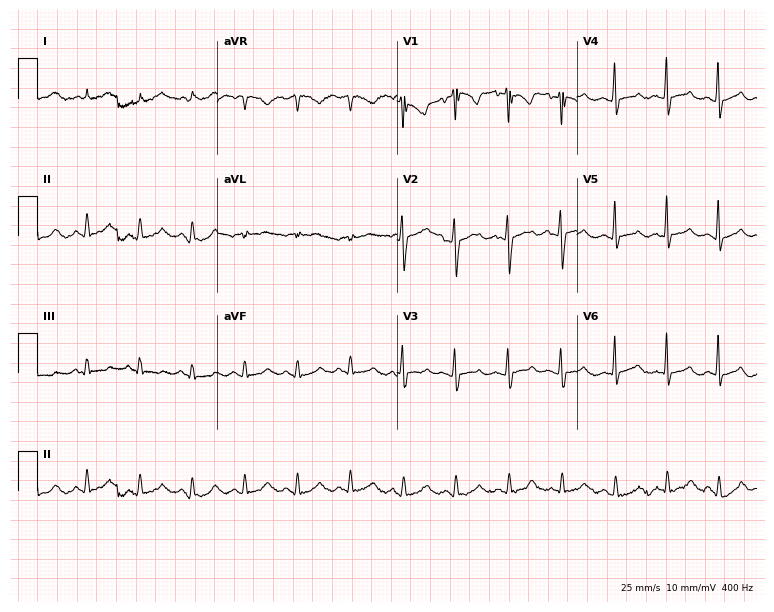
Standard 12-lead ECG recorded from a female patient, 35 years old (7.3-second recording at 400 Hz). The tracing shows sinus tachycardia (a sinus rate of 100 beats per minute or more).